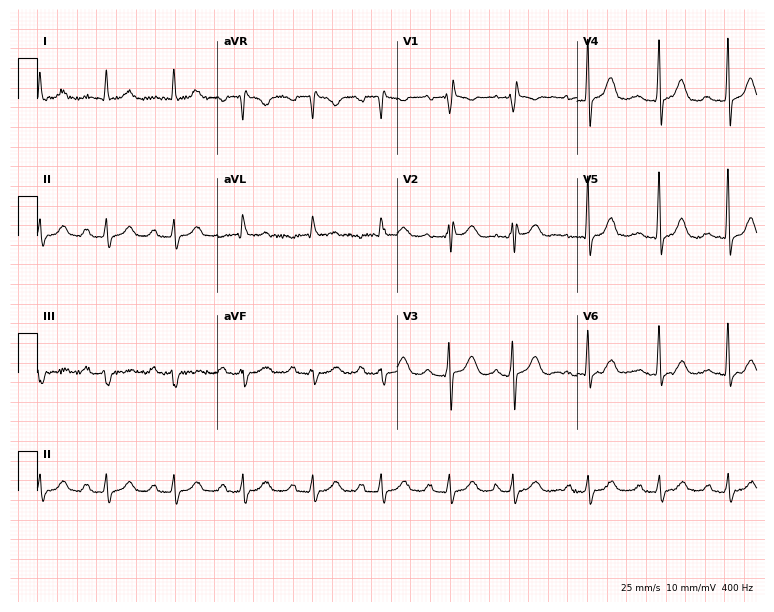
12-lead ECG from a 78-year-old female. Shows first-degree AV block.